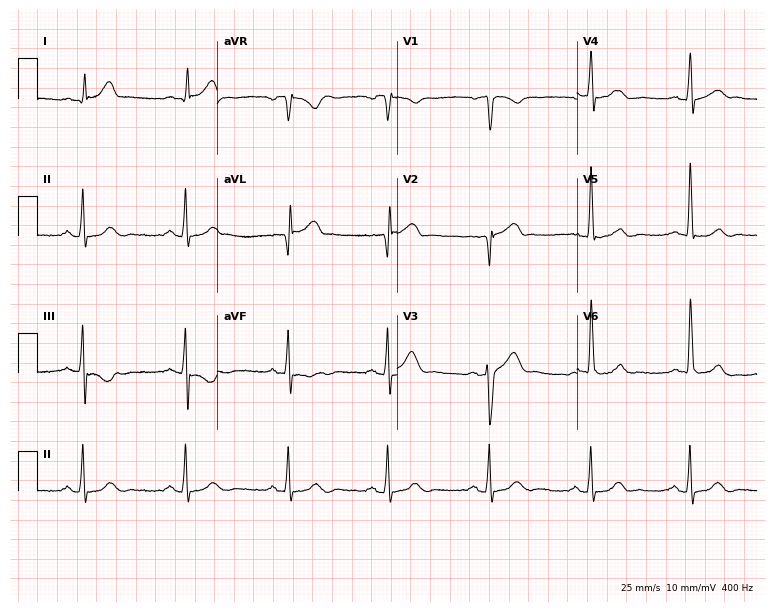
Electrocardiogram (7.3-second recording at 400 Hz), a 65-year-old male. Overall reading on record: normal ECG.